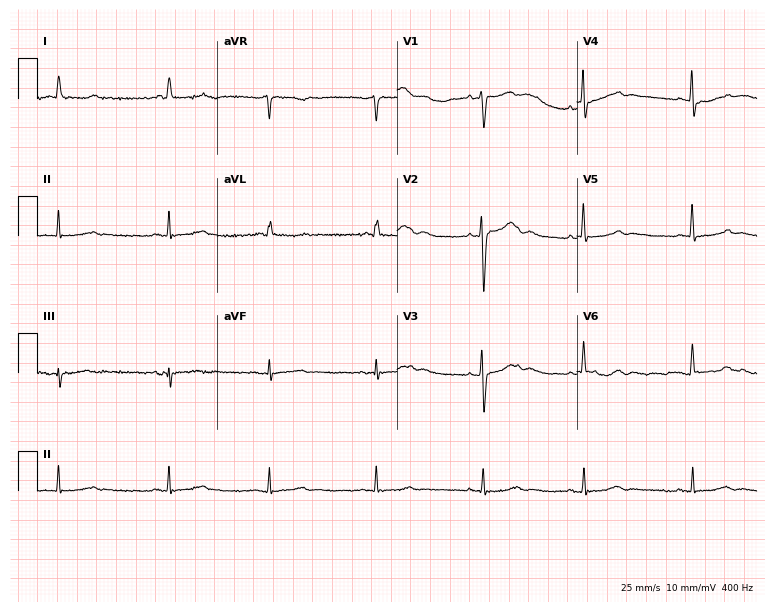
ECG (7.3-second recording at 400 Hz) — a 65-year-old female patient. Screened for six findings — first-degree AV block, right bundle branch block (RBBB), left bundle branch block (LBBB), sinus bradycardia, atrial fibrillation (AF), sinus tachycardia — none is recorded.